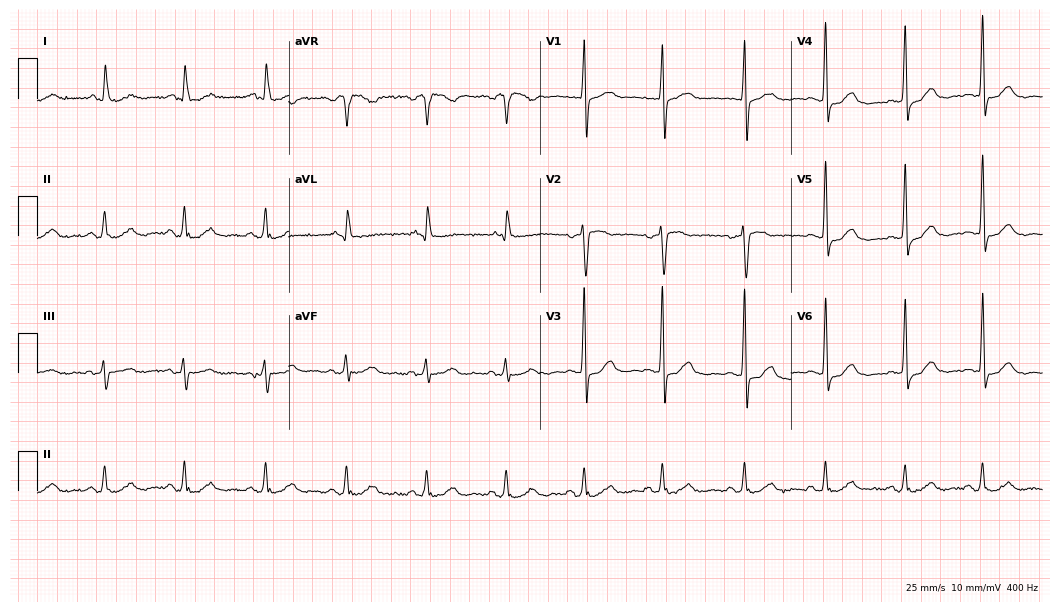
12-lead ECG from a 59-year-old female. Screened for six findings — first-degree AV block, right bundle branch block (RBBB), left bundle branch block (LBBB), sinus bradycardia, atrial fibrillation (AF), sinus tachycardia — none is recorded. Other findings, if any, are not listed.